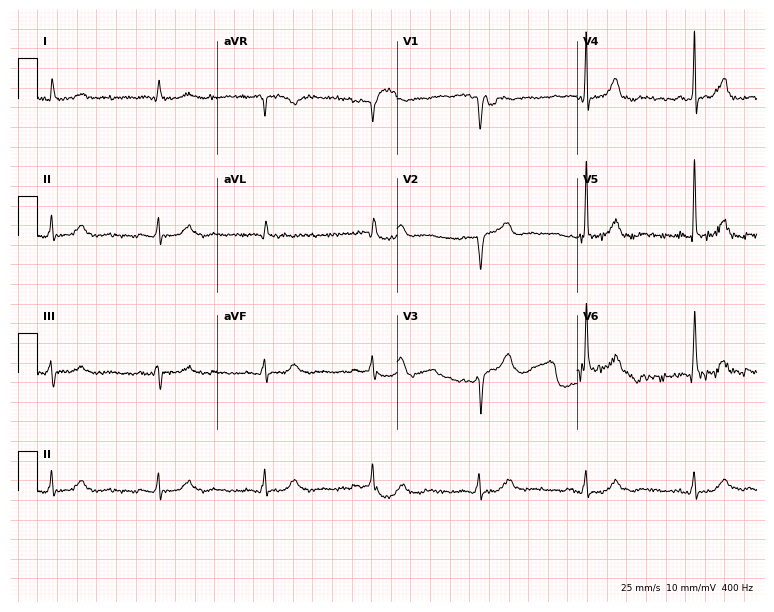
12-lead ECG (7.3-second recording at 400 Hz) from a male patient, 67 years old. Screened for six findings — first-degree AV block, right bundle branch block (RBBB), left bundle branch block (LBBB), sinus bradycardia, atrial fibrillation (AF), sinus tachycardia — none is recorded.